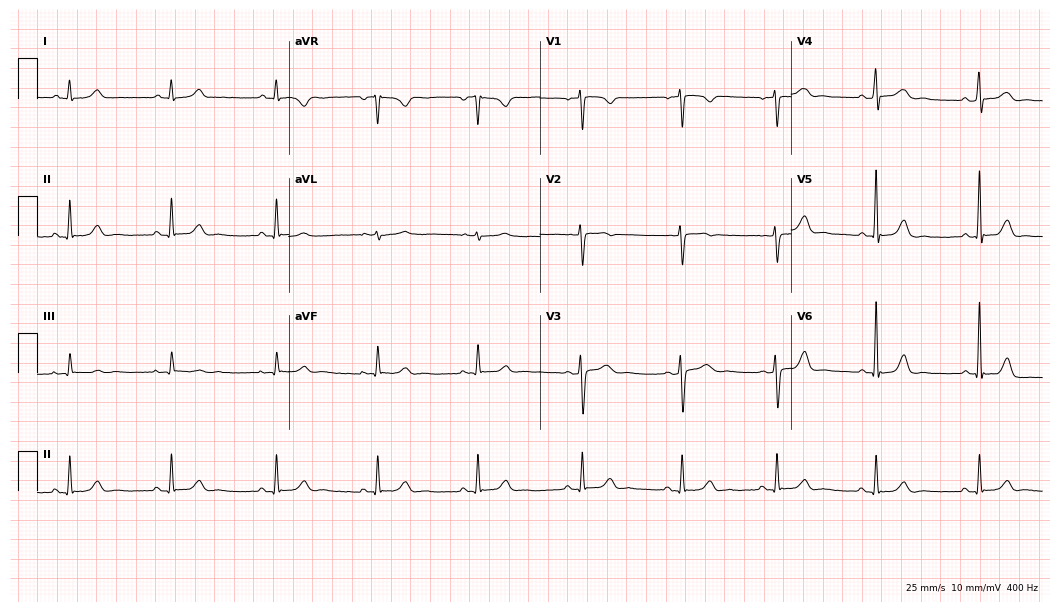
Standard 12-lead ECG recorded from a 44-year-old female patient. Read as a normal ECG.